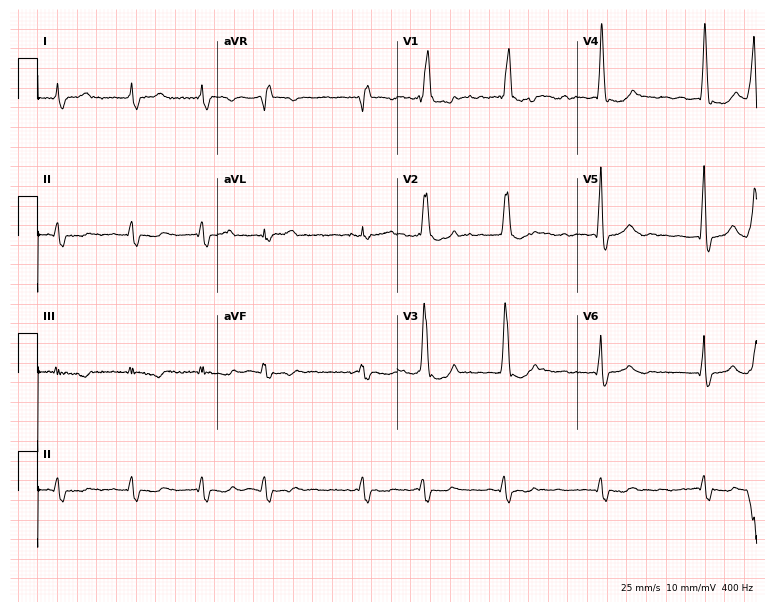
12-lead ECG from a 65-year-old male patient (7.3-second recording at 400 Hz). Shows right bundle branch block, atrial fibrillation.